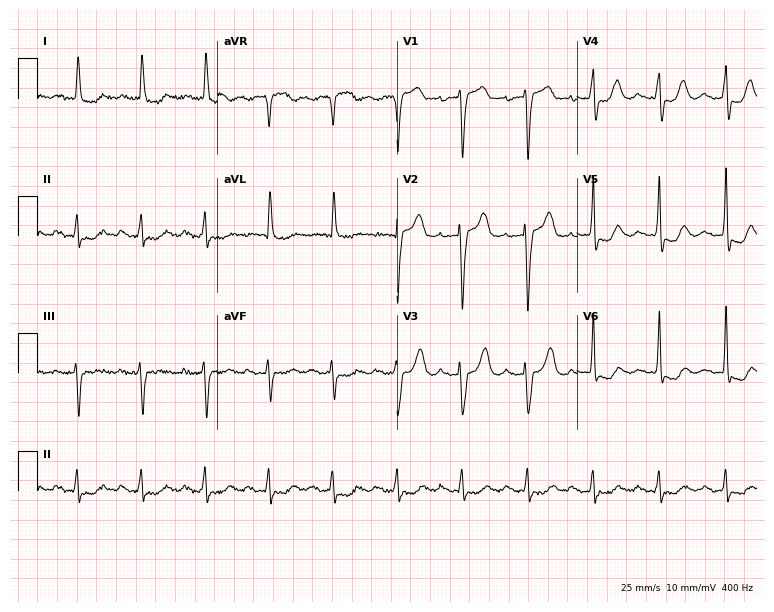
Standard 12-lead ECG recorded from an 82-year-old woman. None of these six findings is recorded: first-degree AV block, right bundle branch block, left bundle branch block, sinus bradycardia, atrial fibrillation, sinus tachycardia. Only these six findings were labelled.